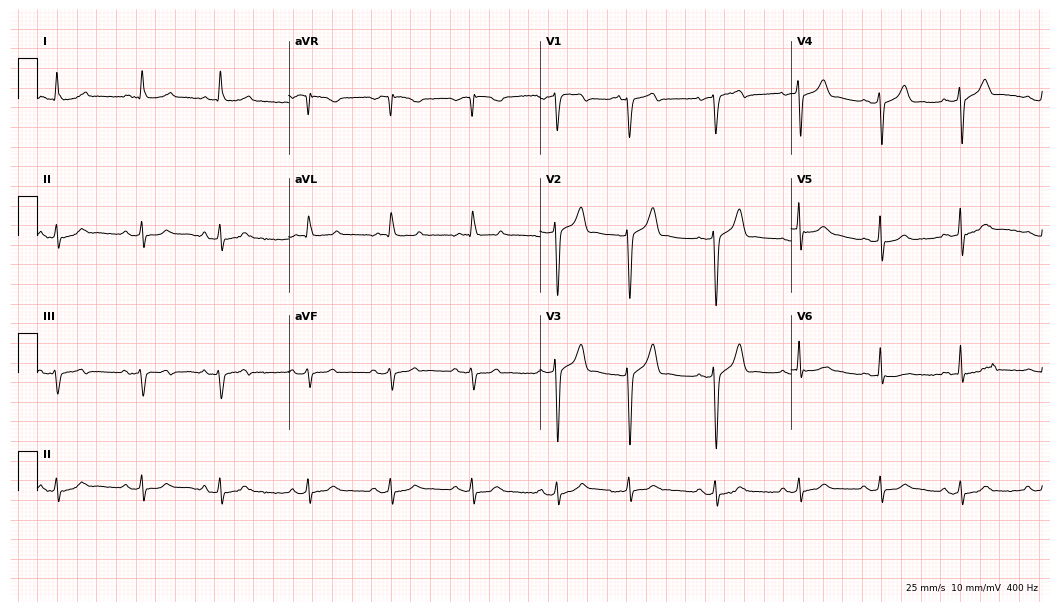
ECG (10.2-second recording at 400 Hz) — a 77-year-old man. Screened for six findings — first-degree AV block, right bundle branch block, left bundle branch block, sinus bradycardia, atrial fibrillation, sinus tachycardia — none is recorded.